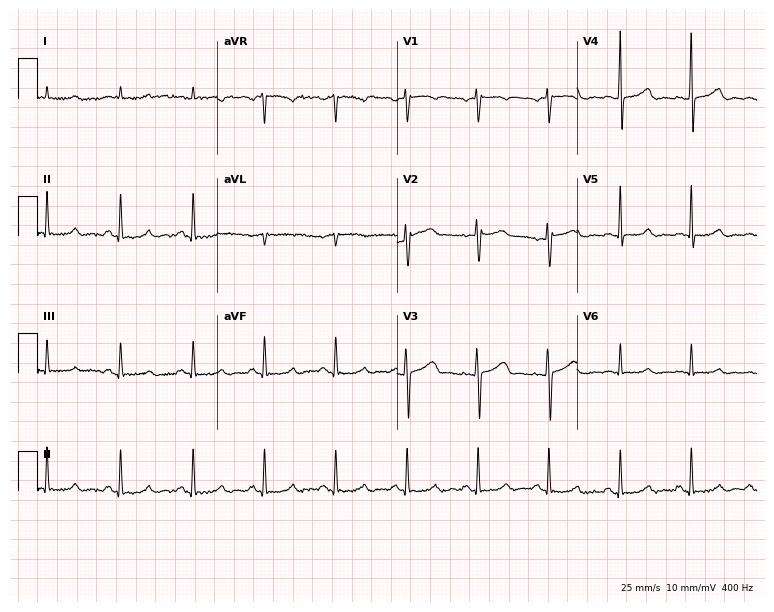
Standard 12-lead ECG recorded from a male patient, 50 years old. None of these six findings is recorded: first-degree AV block, right bundle branch block (RBBB), left bundle branch block (LBBB), sinus bradycardia, atrial fibrillation (AF), sinus tachycardia.